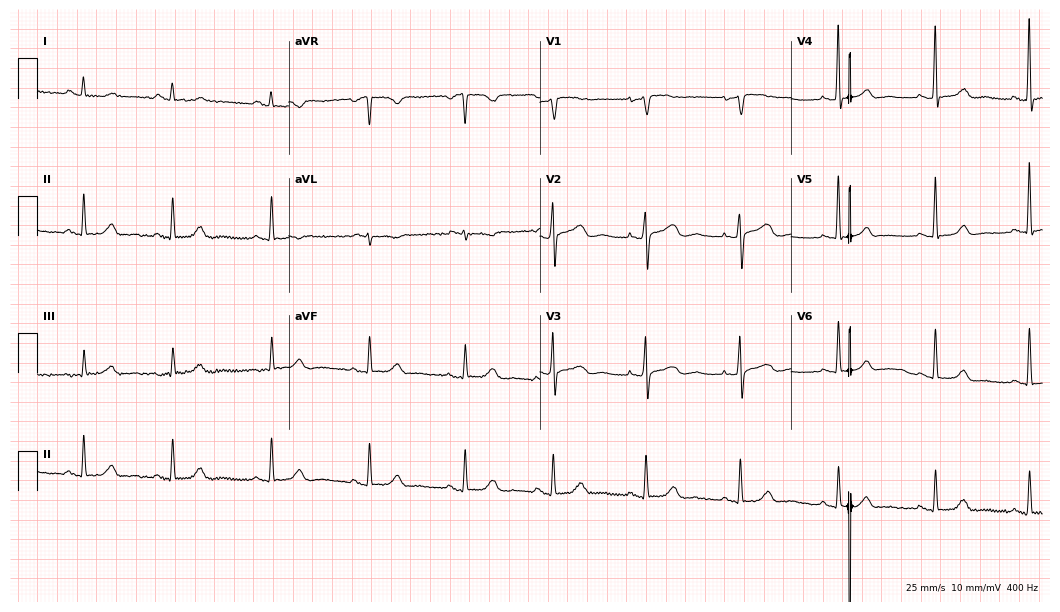
Standard 12-lead ECG recorded from a woman, 76 years old (10.2-second recording at 400 Hz). None of these six findings is recorded: first-degree AV block, right bundle branch block, left bundle branch block, sinus bradycardia, atrial fibrillation, sinus tachycardia.